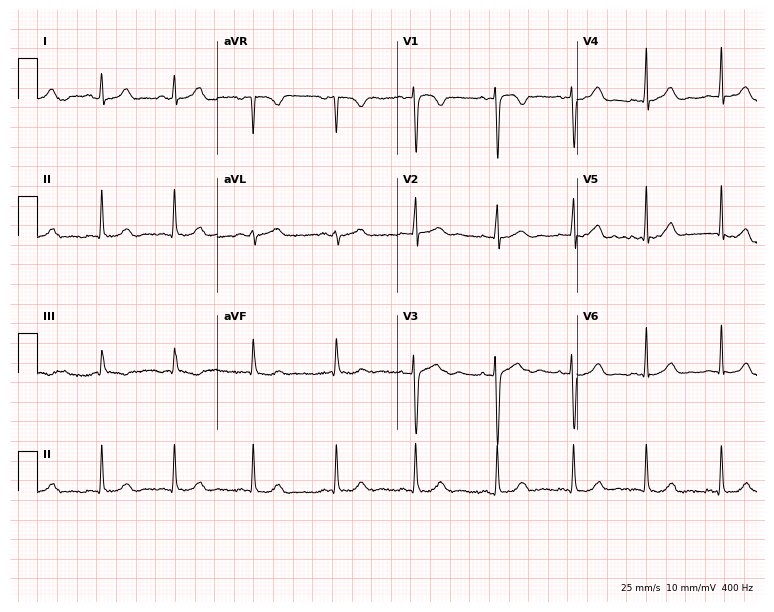
12-lead ECG from a 20-year-old woman. No first-degree AV block, right bundle branch block (RBBB), left bundle branch block (LBBB), sinus bradycardia, atrial fibrillation (AF) or sinus tachycardia recorded for this tracing.